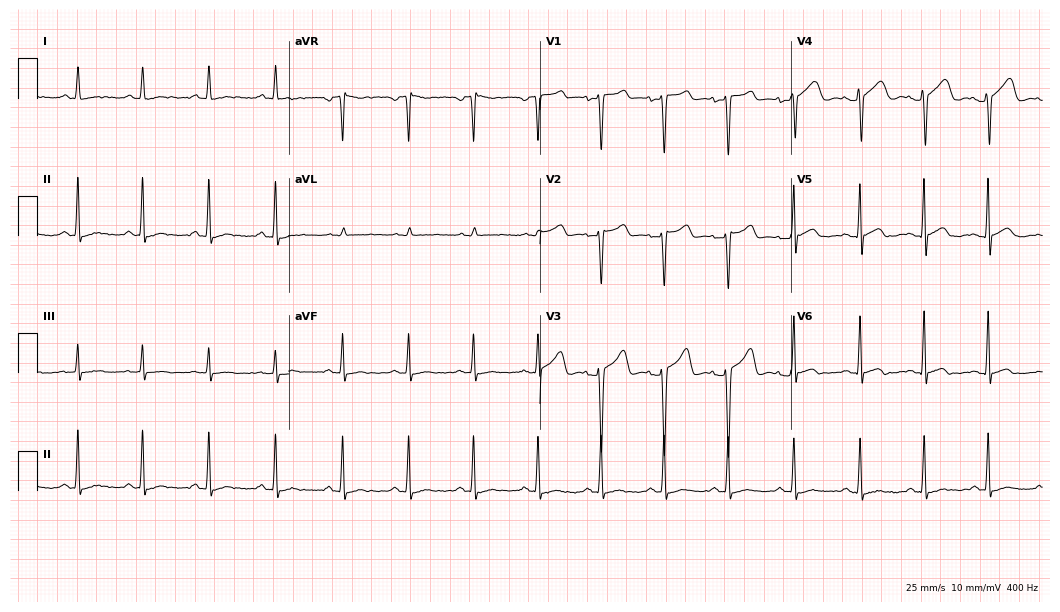
Electrocardiogram, a 38-year-old woman. Overall reading on record: normal ECG.